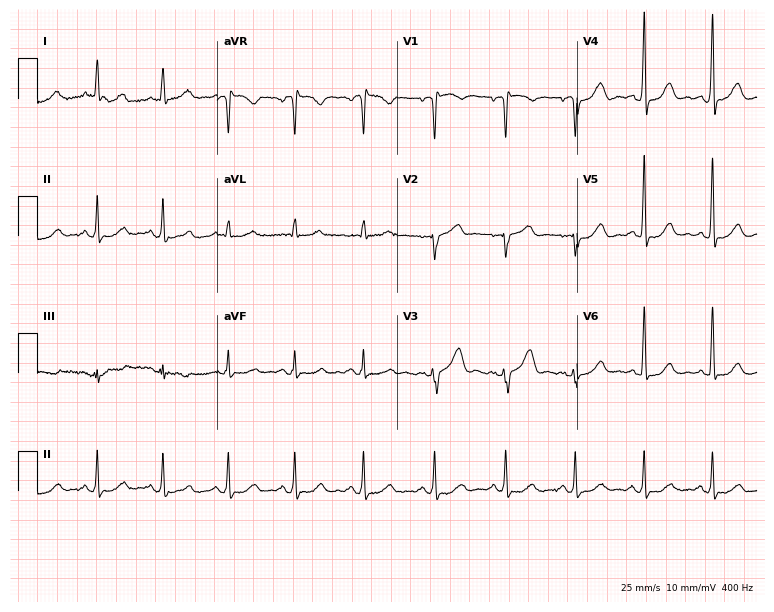
Resting 12-lead electrocardiogram (7.3-second recording at 400 Hz). Patient: a 65-year-old man. None of these six findings is recorded: first-degree AV block, right bundle branch block, left bundle branch block, sinus bradycardia, atrial fibrillation, sinus tachycardia. Other findings, if any, are not listed.